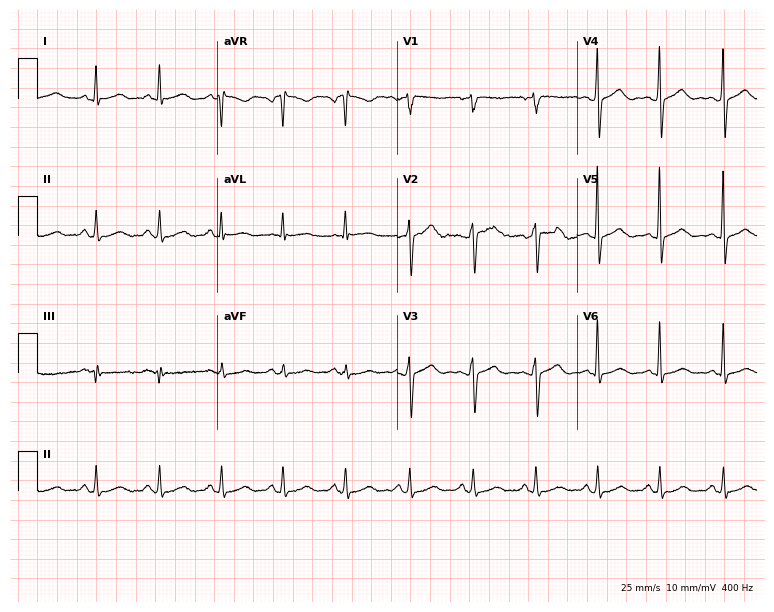
Standard 12-lead ECG recorded from a 52-year-old female. Read as a normal ECG.